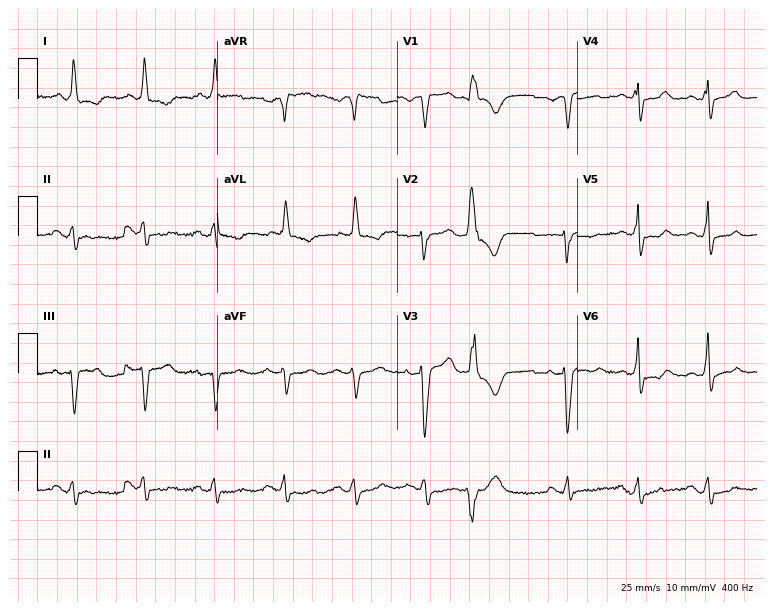
12-lead ECG from a woman, 81 years old. Screened for six findings — first-degree AV block, right bundle branch block, left bundle branch block, sinus bradycardia, atrial fibrillation, sinus tachycardia — none is recorded.